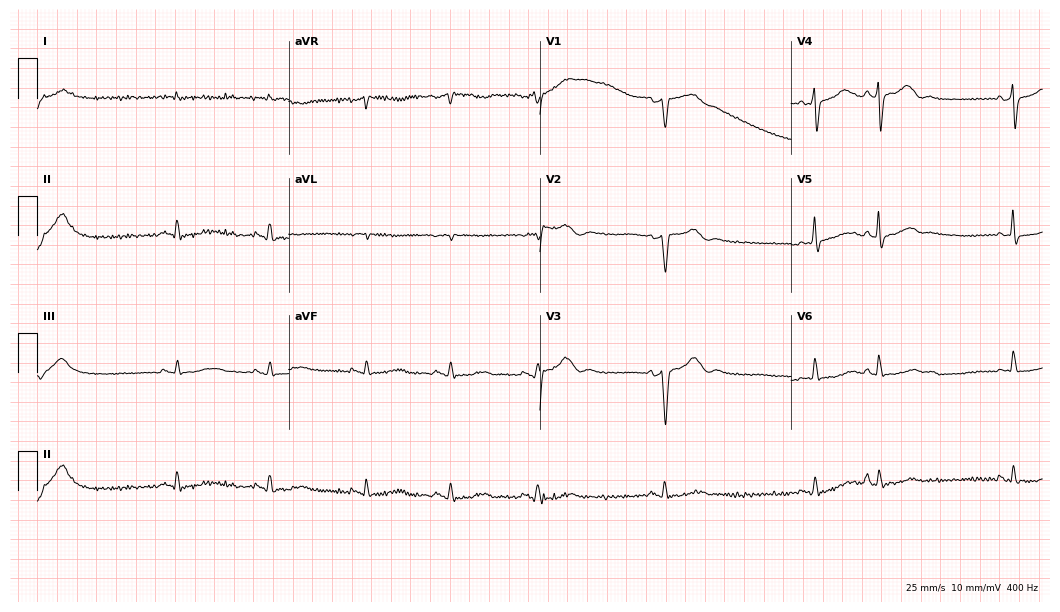
Standard 12-lead ECG recorded from a female, 71 years old. None of these six findings is recorded: first-degree AV block, right bundle branch block (RBBB), left bundle branch block (LBBB), sinus bradycardia, atrial fibrillation (AF), sinus tachycardia.